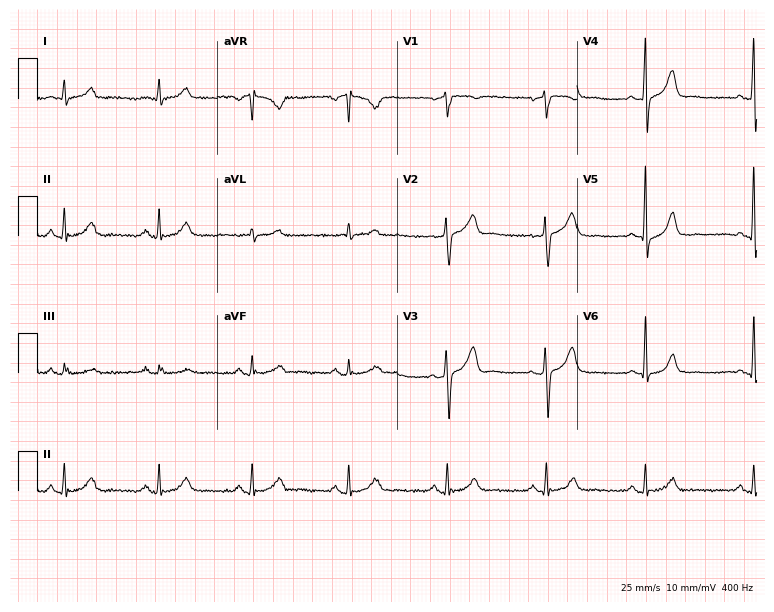
Standard 12-lead ECG recorded from a 63-year-old man (7.3-second recording at 400 Hz). Read as a normal ECG.